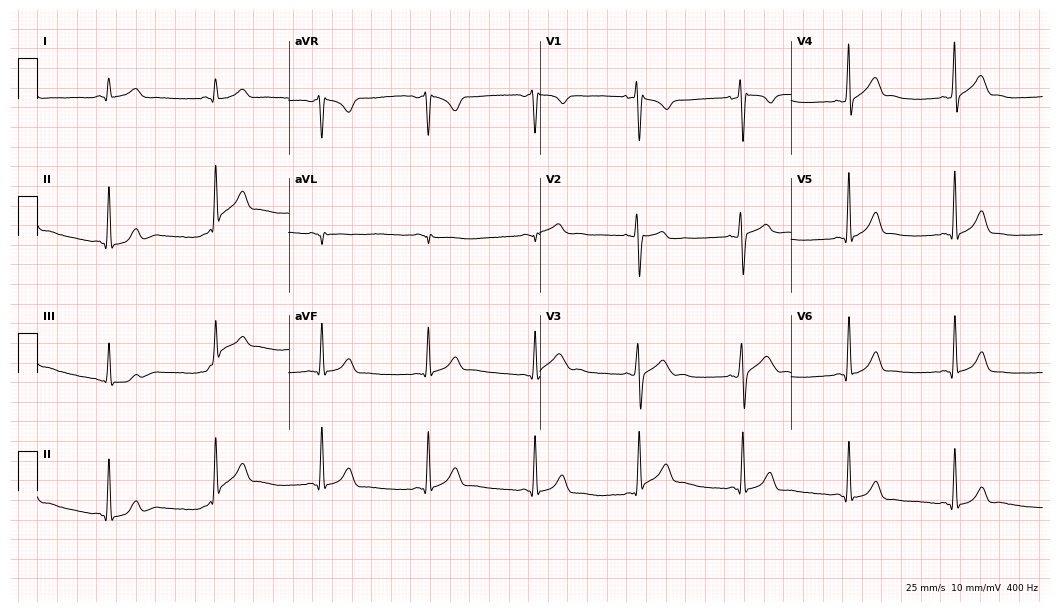
Resting 12-lead electrocardiogram (10.2-second recording at 400 Hz). Patient: a 32-year-old man. Read as a normal ECG.